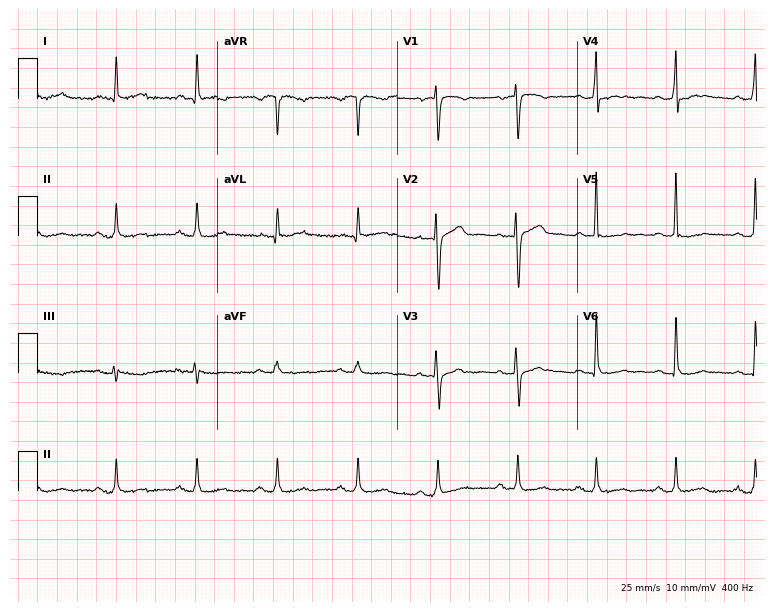
12-lead ECG from a female, 52 years old. Screened for six findings — first-degree AV block, right bundle branch block, left bundle branch block, sinus bradycardia, atrial fibrillation, sinus tachycardia — none is recorded.